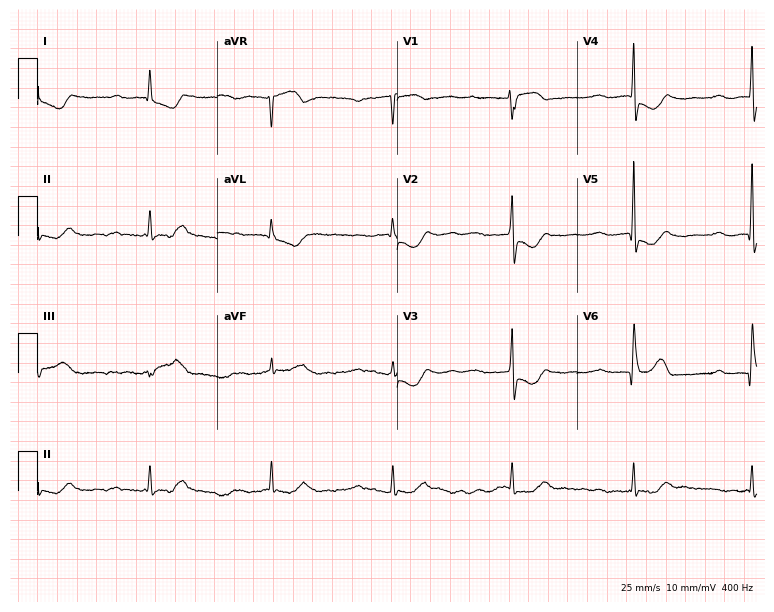
Standard 12-lead ECG recorded from a 52-year-old female (7.3-second recording at 400 Hz). The tracing shows first-degree AV block, right bundle branch block (RBBB).